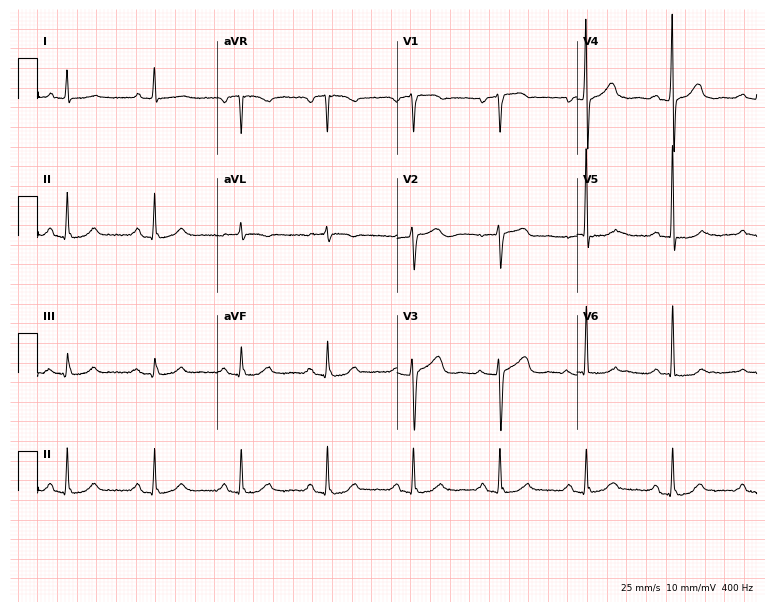
ECG (7.3-second recording at 400 Hz) — an 81-year-old woman. Labelled as a normal ECG.